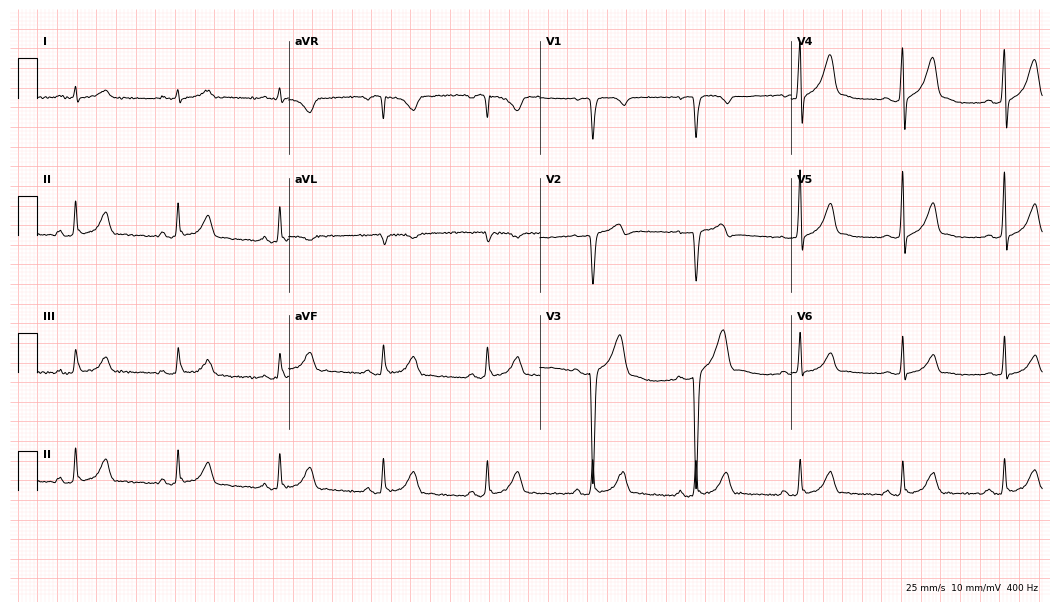
12-lead ECG from a 28-year-old man (10.2-second recording at 400 Hz). Recorded interpretation: within normal limits.